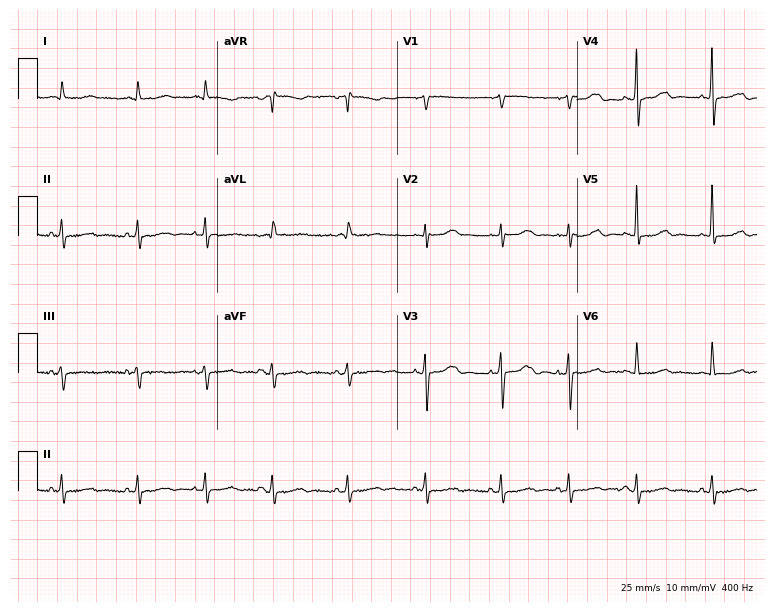
12-lead ECG from an 84-year-old female patient. Screened for six findings — first-degree AV block, right bundle branch block, left bundle branch block, sinus bradycardia, atrial fibrillation, sinus tachycardia — none is recorded. Findings outside these six are not listed.